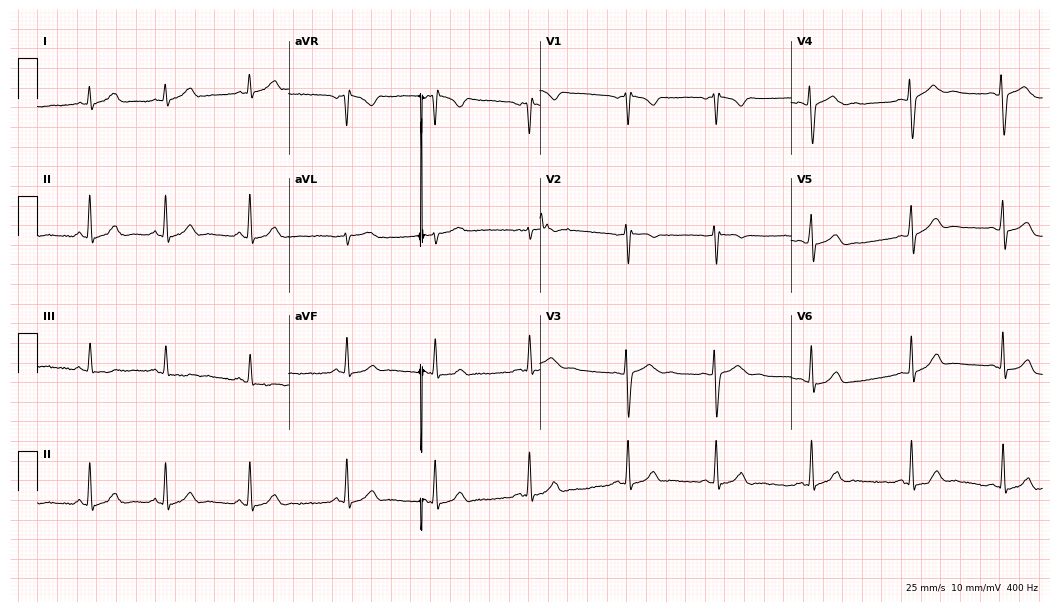
Resting 12-lead electrocardiogram. Patient: a woman, 17 years old. Read as a normal ECG.